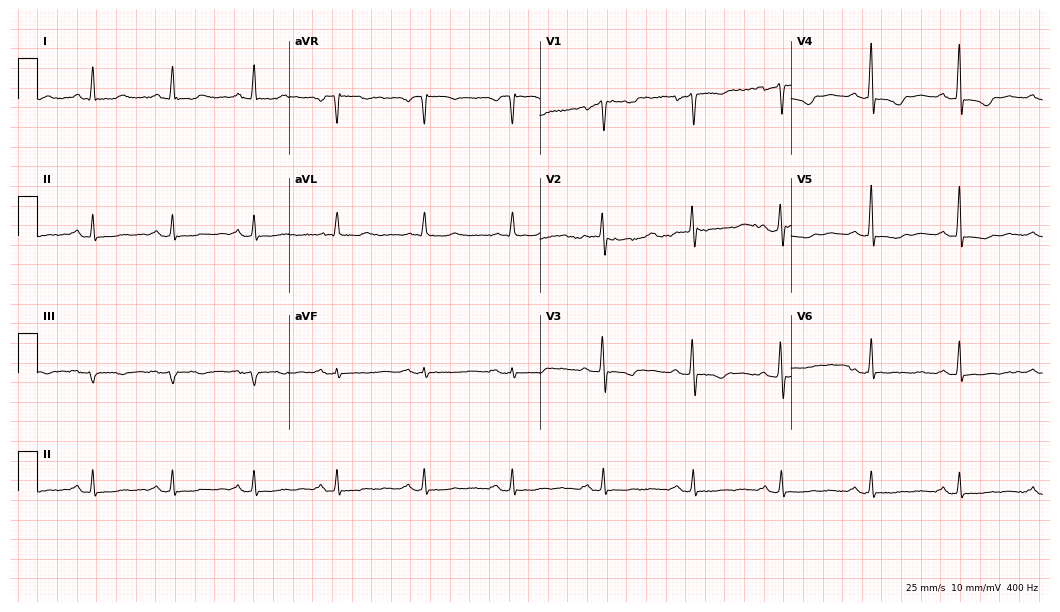
ECG (10.2-second recording at 400 Hz) — a woman, 73 years old. Screened for six findings — first-degree AV block, right bundle branch block (RBBB), left bundle branch block (LBBB), sinus bradycardia, atrial fibrillation (AF), sinus tachycardia — none is recorded. Other findings, if any, are not listed.